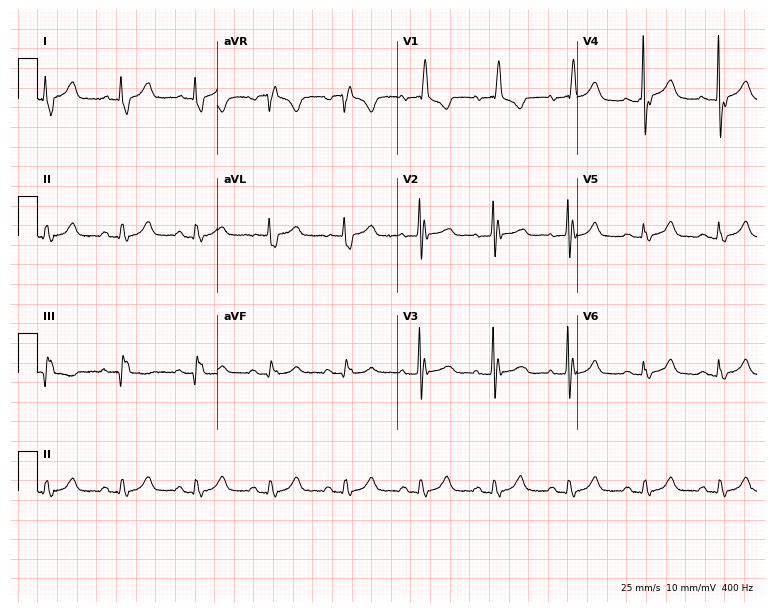
Resting 12-lead electrocardiogram. Patient: a 77-year-old female. The tracing shows right bundle branch block.